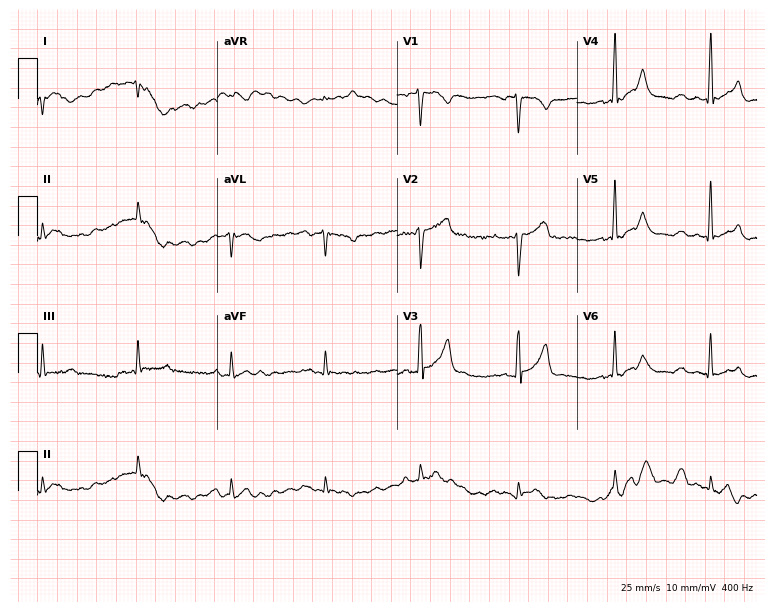
Electrocardiogram, a man, 47 years old. Of the six screened findings (first-degree AV block, right bundle branch block, left bundle branch block, sinus bradycardia, atrial fibrillation, sinus tachycardia), none is recorded. Other findings, if any, are not listed.